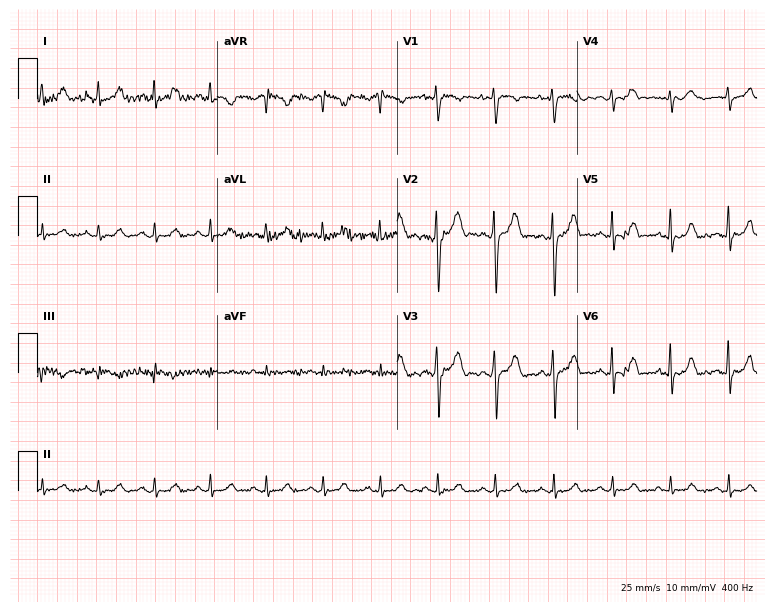
Resting 12-lead electrocardiogram. Patient: a 27-year-old female. Read as a normal ECG.